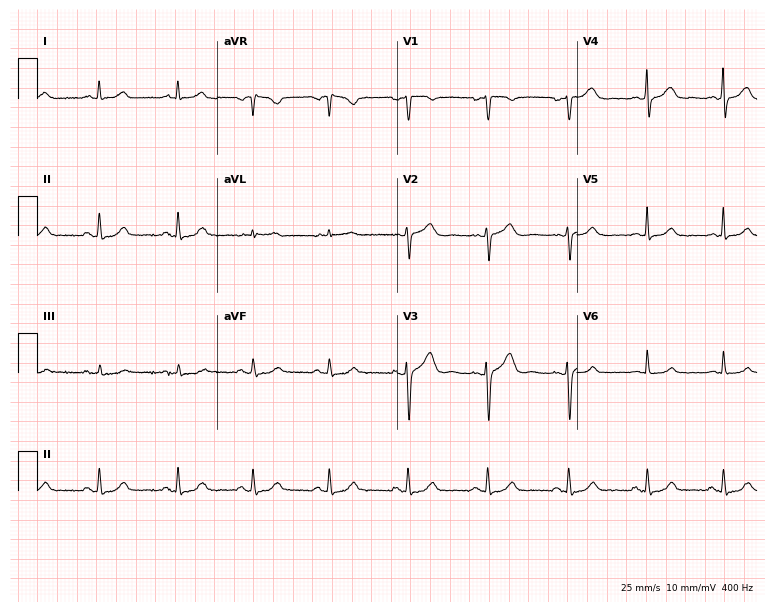
Resting 12-lead electrocardiogram (7.3-second recording at 400 Hz). Patient: a female, 44 years old. None of these six findings is recorded: first-degree AV block, right bundle branch block, left bundle branch block, sinus bradycardia, atrial fibrillation, sinus tachycardia. Findings outside these six are not listed.